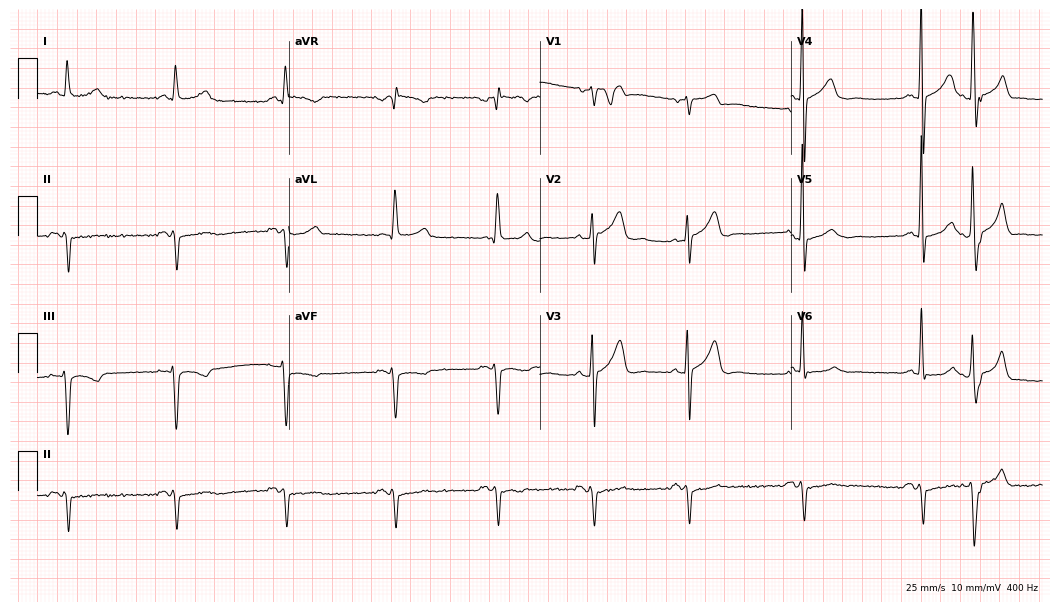
Standard 12-lead ECG recorded from a male patient, 70 years old. None of these six findings is recorded: first-degree AV block, right bundle branch block, left bundle branch block, sinus bradycardia, atrial fibrillation, sinus tachycardia.